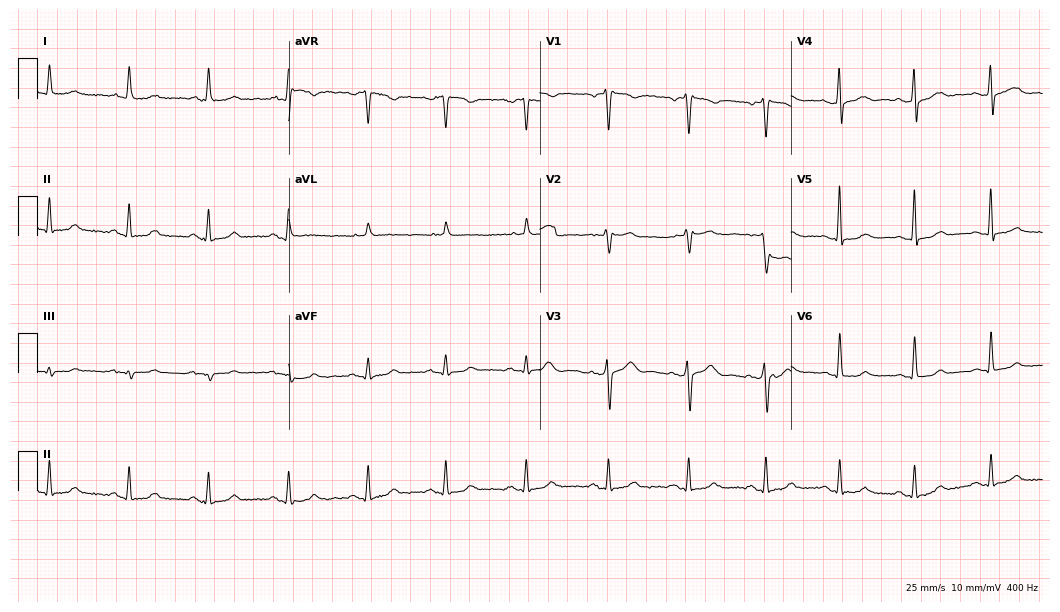
12-lead ECG from a 59-year-old male (10.2-second recording at 400 Hz). No first-degree AV block, right bundle branch block, left bundle branch block, sinus bradycardia, atrial fibrillation or sinus tachycardia recorded for this tracing. Findings outside these six are not listed.